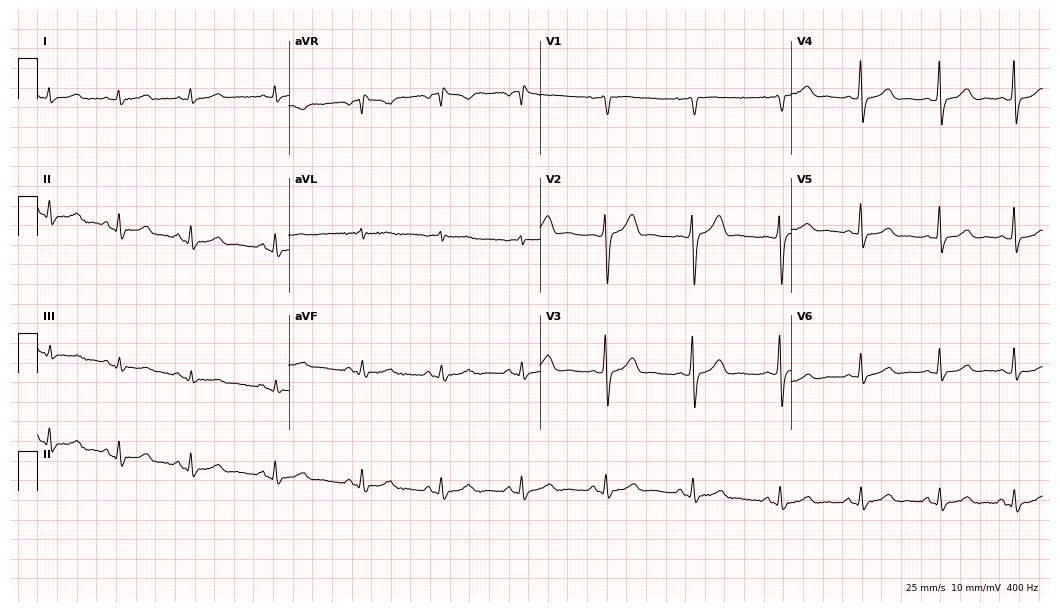
ECG (10.2-second recording at 400 Hz) — a female, 46 years old. Labelled as a normal ECG.